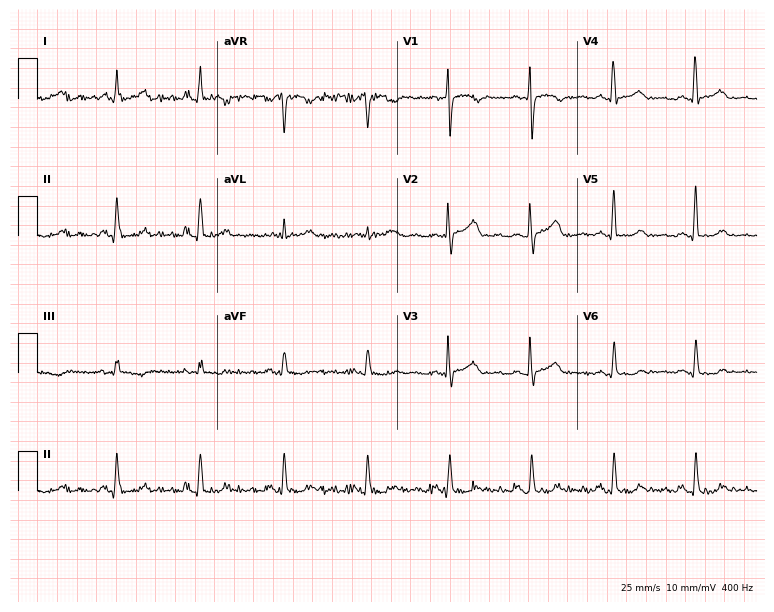
Electrocardiogram, a 59-year-old woman. Overall reading on record: normal ECG.